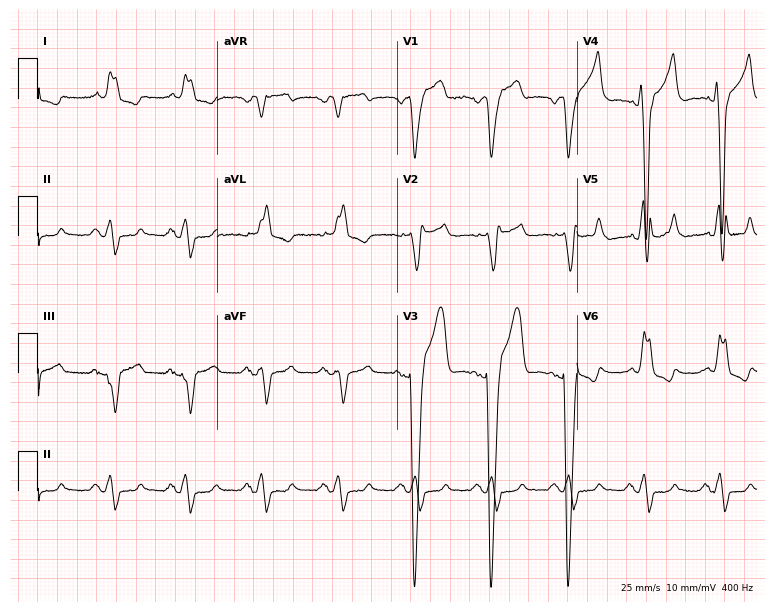
Electrocardiogram, a 79-year-old male patient. Interpretation includes left bundle branch block.